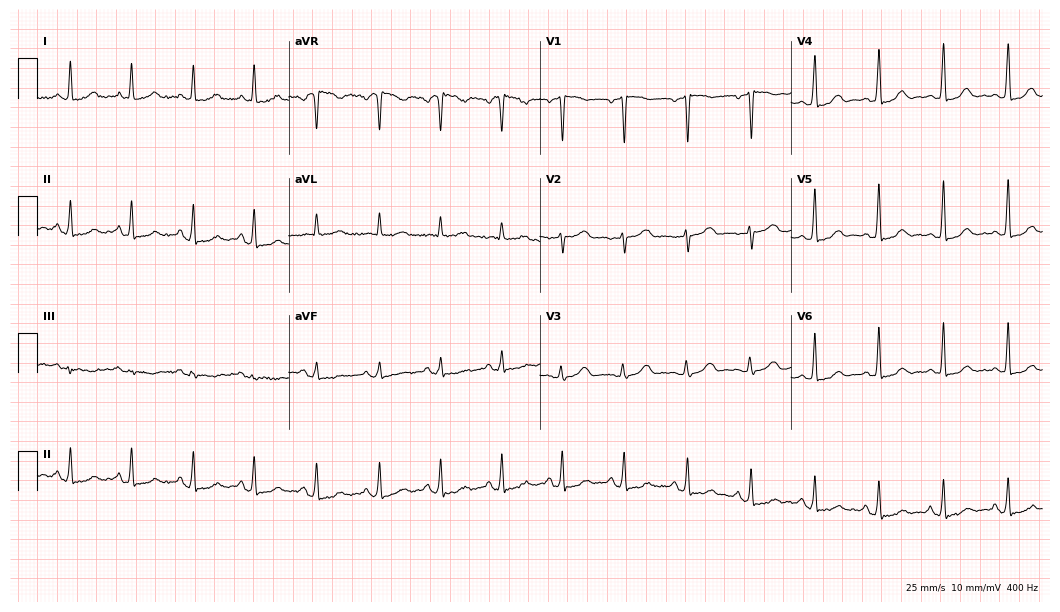
Resting 12-lead electrocardiogram. Patient: a female, 43 years old. None of these six findings is recorded: first-degree AV block, right bundle branch block, left bundle branch block, sinus bradycardia, atrial fibrillation, sinus tachycardia. Findings outside these six are not listed.